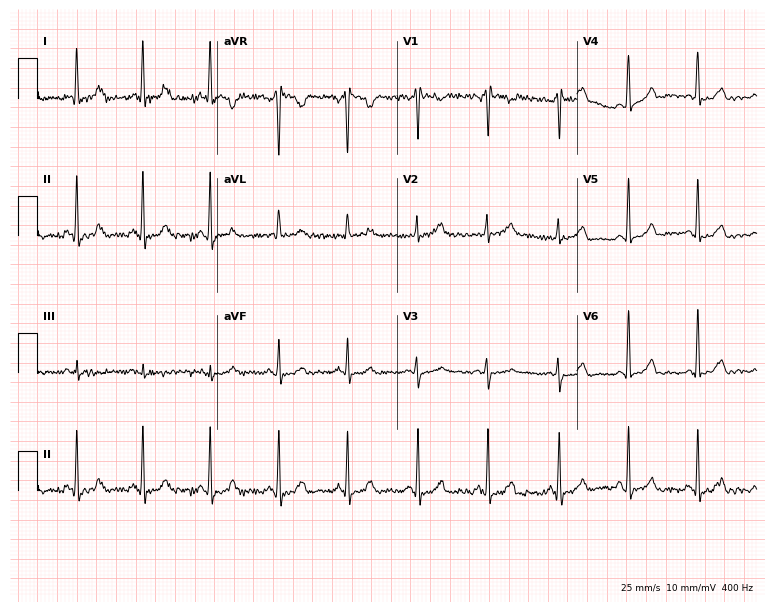
ECG — a 34-year-old female patient. Screened for six findings — first-degree AV block, right bundle branch block, left bundle branch block, sinus bradycardia, atrial fibrillation, sinus tachycardia — none is recorded.